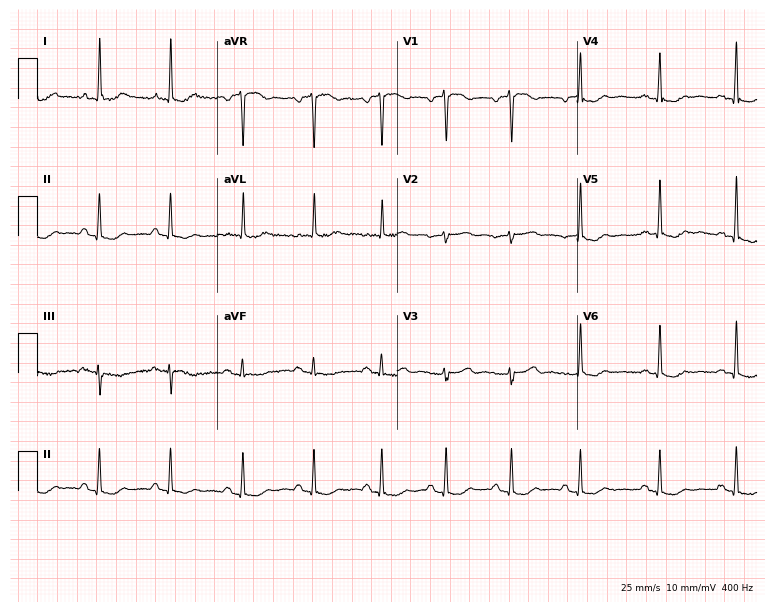
12-lead ECG from a woman, 54 years old. Screened for six findings — first-degree AV block, right bundle branch block, left bundle branch block, sinus bradycardia, atrial fibrillation, sinus tachycardia — none is recorded.